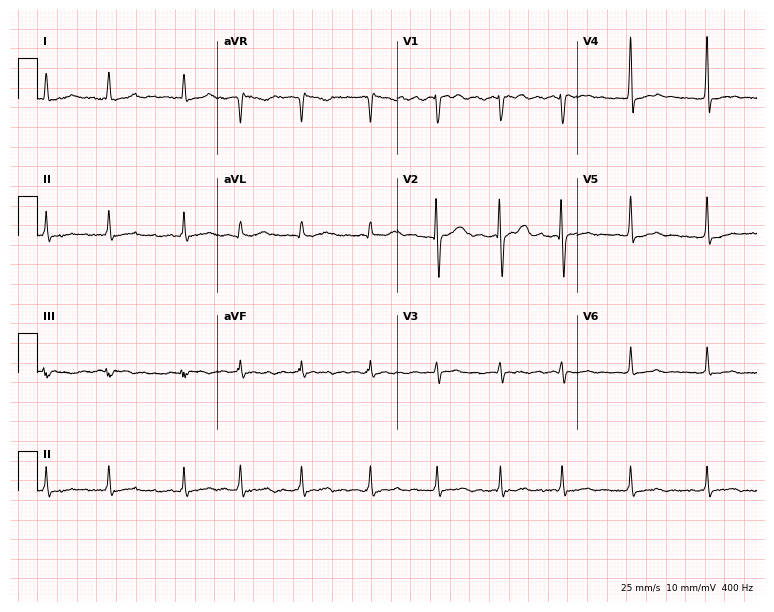
Standard 12-lead ECG recorded from a 44-year-old male. The tracing shows atrial fibrillation (AF).